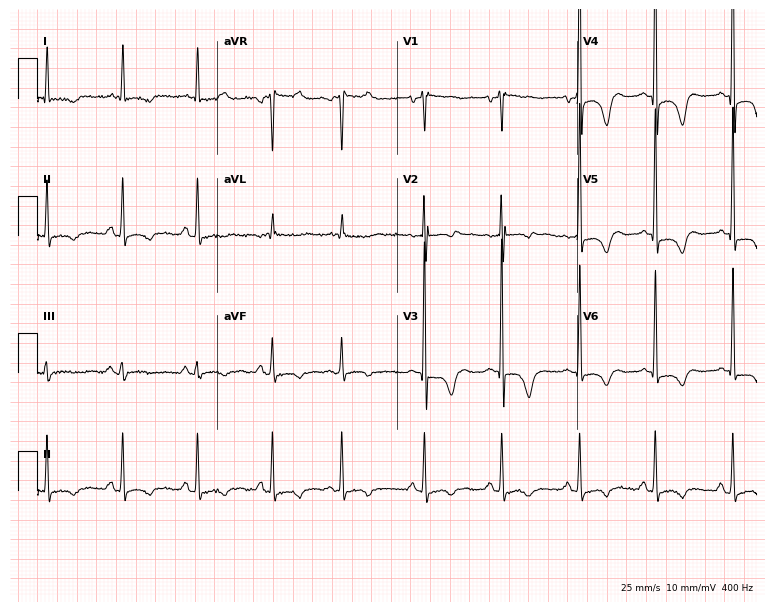
Electrocardiogram, a woman, 81 years old. Of the six screened findings (first-degree AV block, right bundle branch block, left bundle branch block, sinus bradycardia, atrial fibrillation, sinus tachycardia), none is recorded.